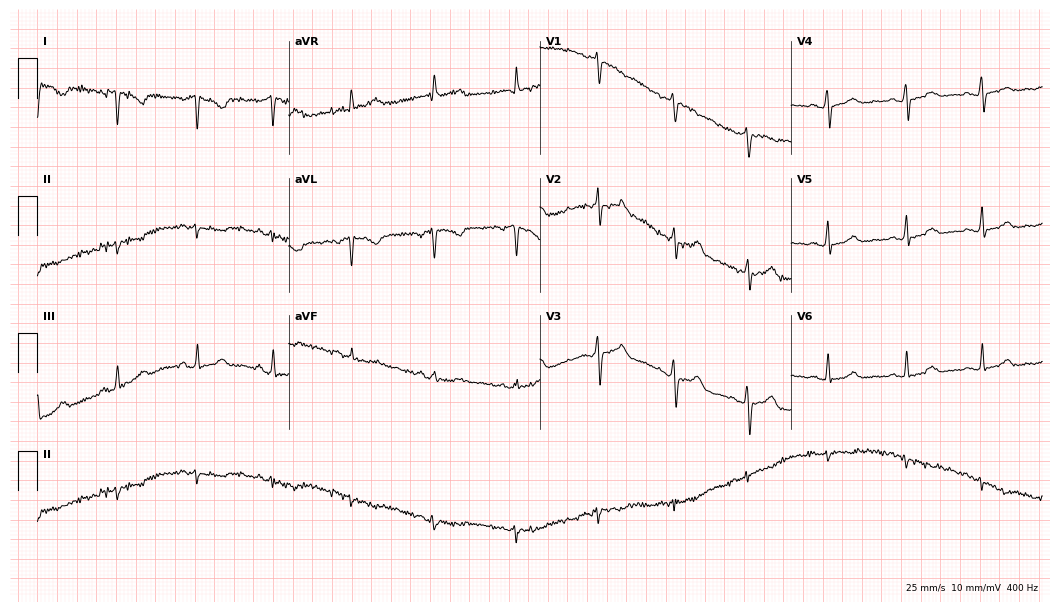
12-lead ECG from a 41-year-old woman. No first-degree AV block, right bundle branch block, left bundle branch block, sinus bradycardia, atrial fibrillation or sinus tachycardia recorded for this tracing. Other findings, if any, are not listed.